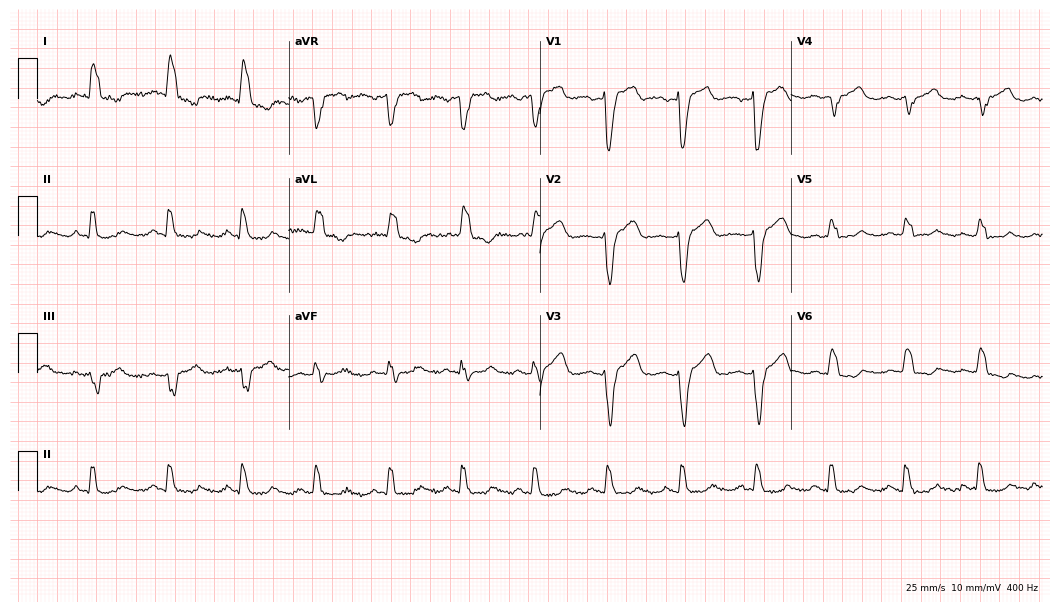
Resting 12-lead electrocardiogram. Patient: a female, 59 years old. The tracing shows left bundle branch block.